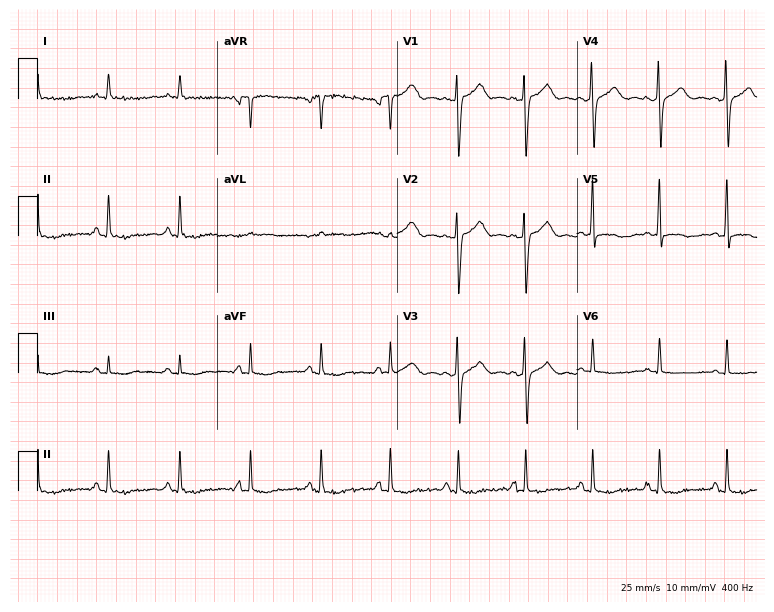
12-lead ECG from a 37-year-old woman. No first-degree AV block, right bundle branch block (RBBB), left bundle branch block (LBBB), sinus bradycardia, atrial fibrillation (AF) or sinus tachycardia recorded for this tracing.